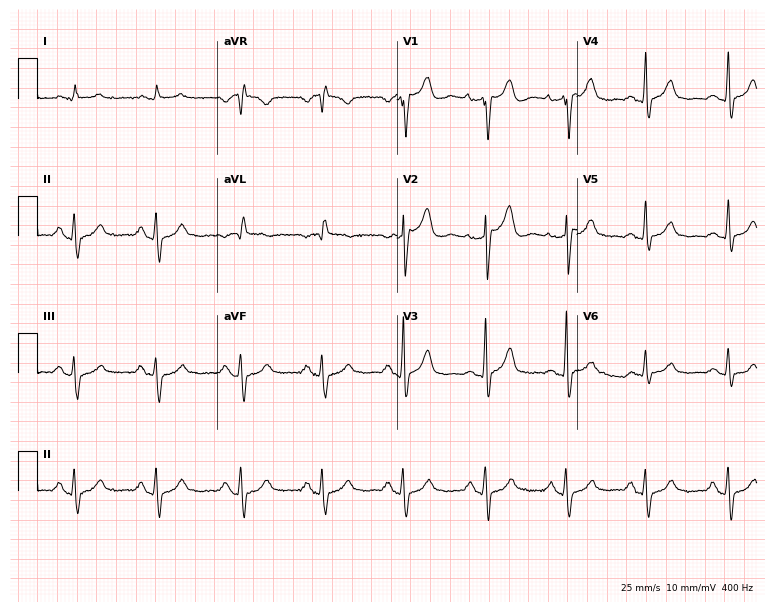
12-lead ECG from a male patient, 68 years old. No first-degree AV block, right bundle branch block (RBBB), left bundle branch block (LBBB), sinus bradycardia, atrial fibrillation (AF) or sinus tachycardia recorded for this tracing.